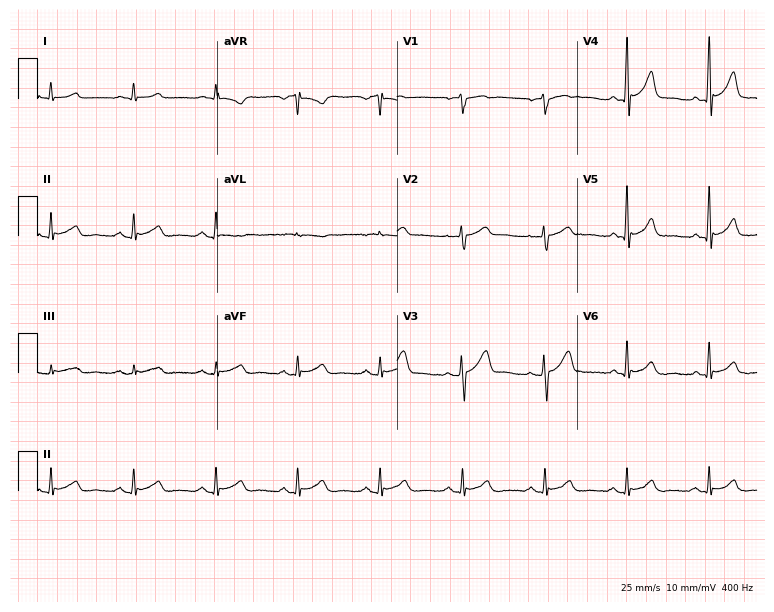
12-lead ECG from a 60-year-old male. Recorded interpretation: within normal limits.